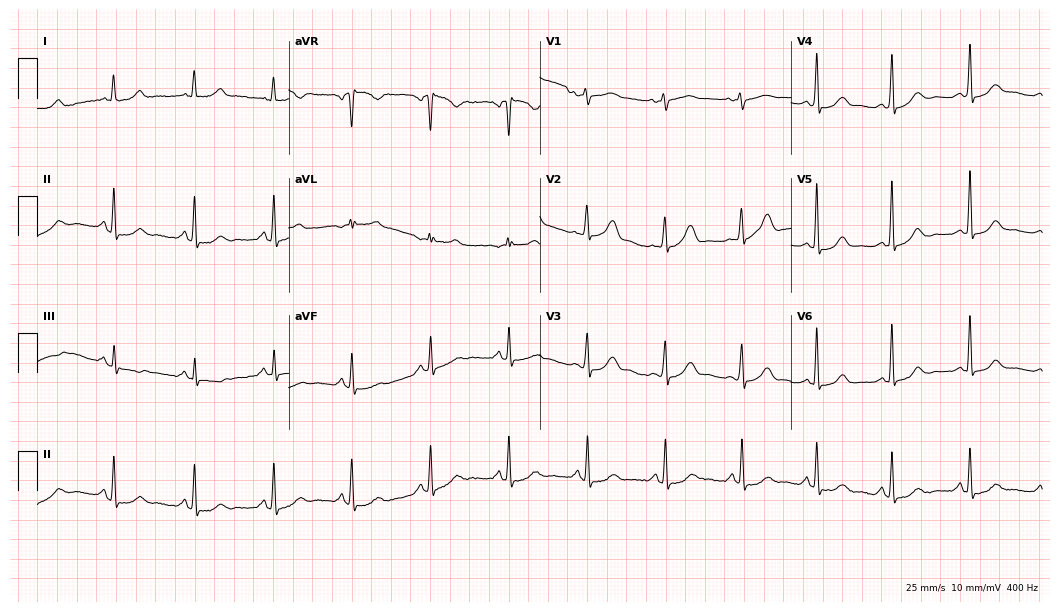
ECG — a female patient, 56 years old. Labelled as a normal ECG.